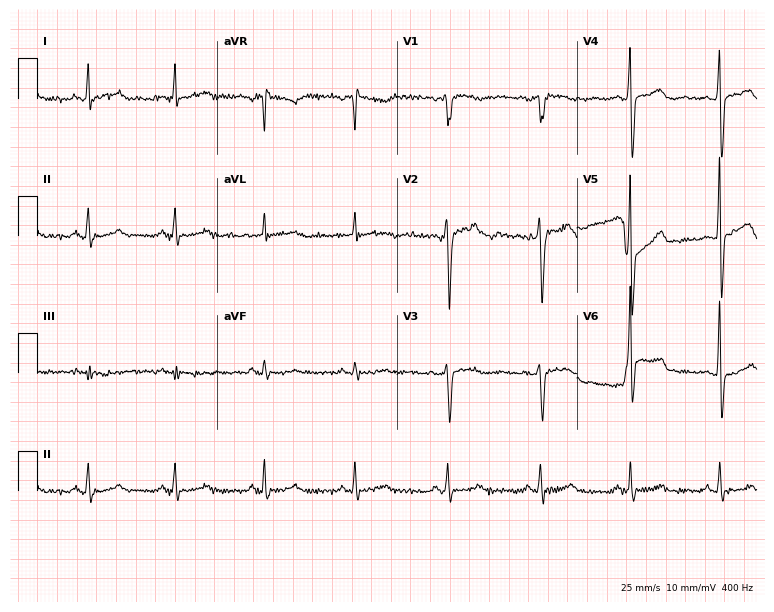
12-lead ECG from a female patient, 57 years old. No first-degree AV block, right bundle branch block, left bundle branch block, sinus bradycardia, atrial fibrillation or sinus tachycardia recorded for this tracing.